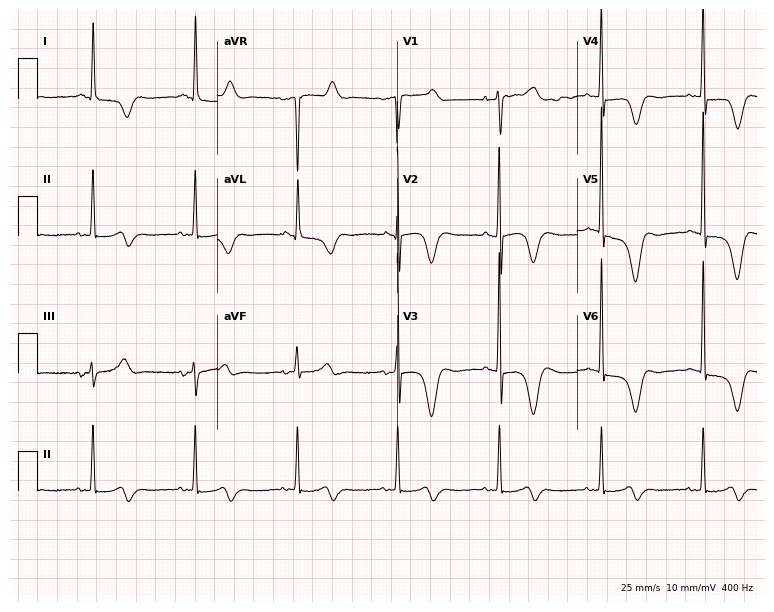
12-lead ECG from a 66-year-old female patient. No first-degree AV block, right bundle branch block, left bundle branch block, sinus bradycardia, atrial fibrillation or sinus tachycardia recorded for this tracing.